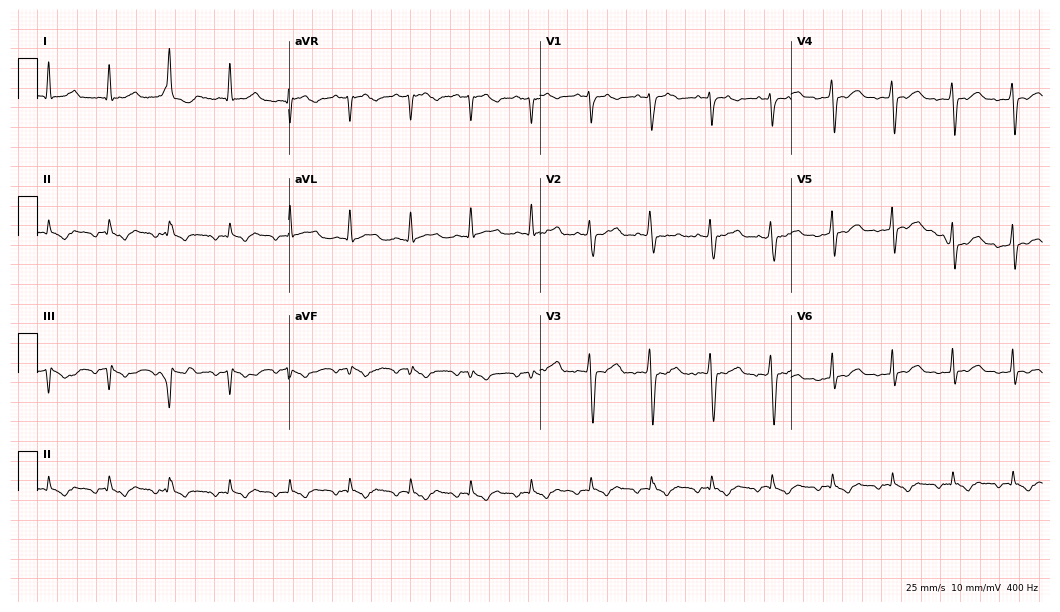
Electrocardiogram (10.2-second recording at 400 Hz), a man, 67 years old. Of the six screened findings (first-degree AV block, right bundle branch block (RBBB), left bundle branch block (LBBB), sinus bradycardia, atrial fibrillation (AF), sinus tachycardia), none is recorded. Other findings, if any, are not listed.